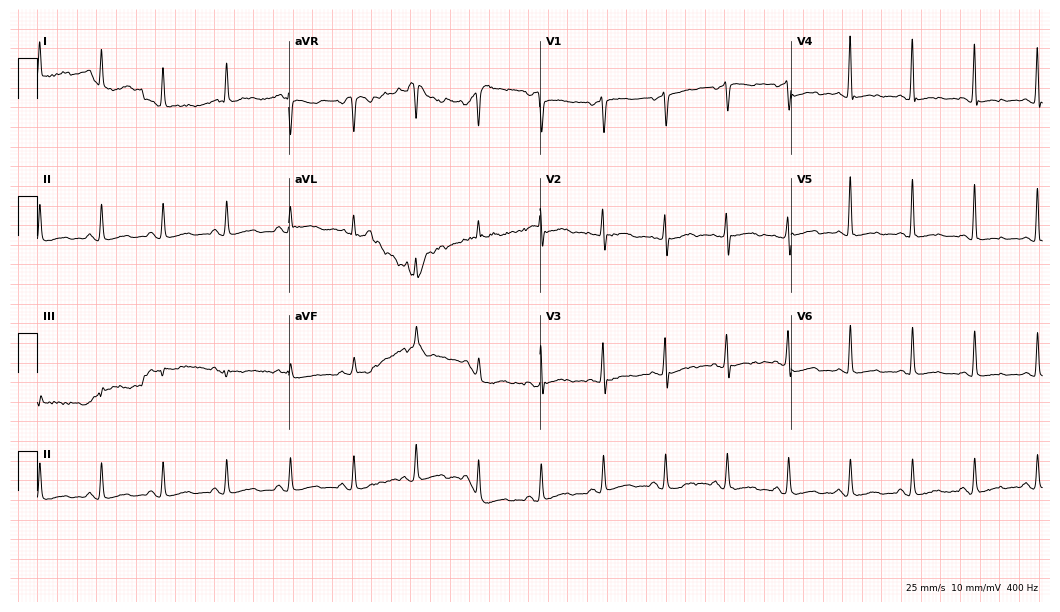
ECG (10.2-second recording at 400 Hz) — a woman, 55 years old. Screened for six findings — first-degree AV block, right bundle branch block, left bundle branch block, sinus bradycardia, atrial fibrillation, sinus tachycardia — none is recorded. Only these six findings were labelled.